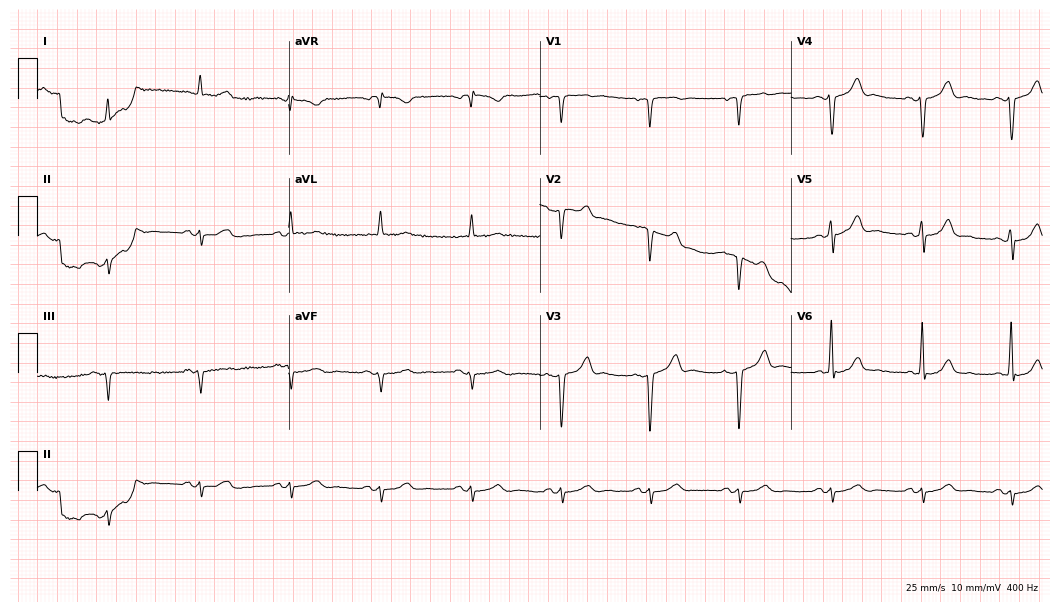
ECG — a male, 74 years old. Screened for six findings — first-degree AV block, right bundle branch block, left bundle branch block, sinus bradycardia, atrial fibrillation, sinus tachycardia — none is recorded. Other findings, if any, are not listed.